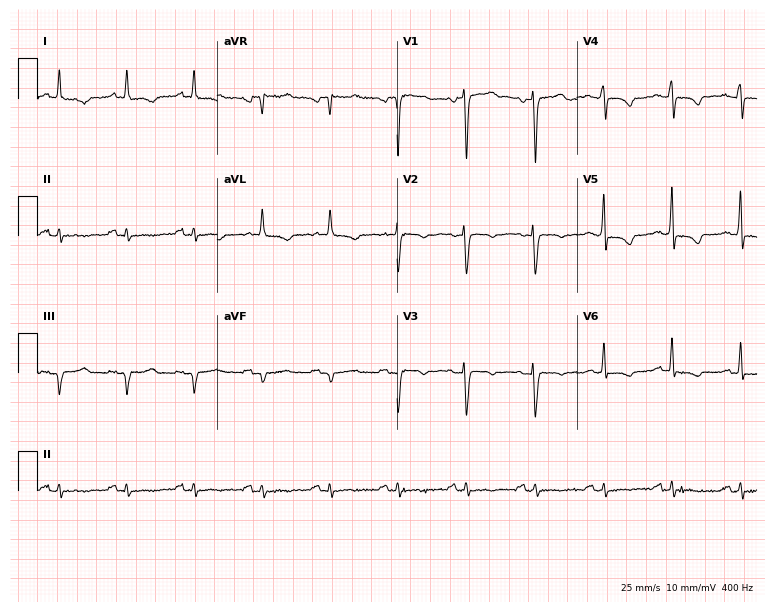
12-lead ECG from a male, 51 years old (7.3-second recording at 400 Hz). No first-degree AV block, right bundle branch block, left bundle branch block, sinus bradycardia, atrial fibrillation or sinus tachycardia recorded for this tracing. Only these six findings were labelled.